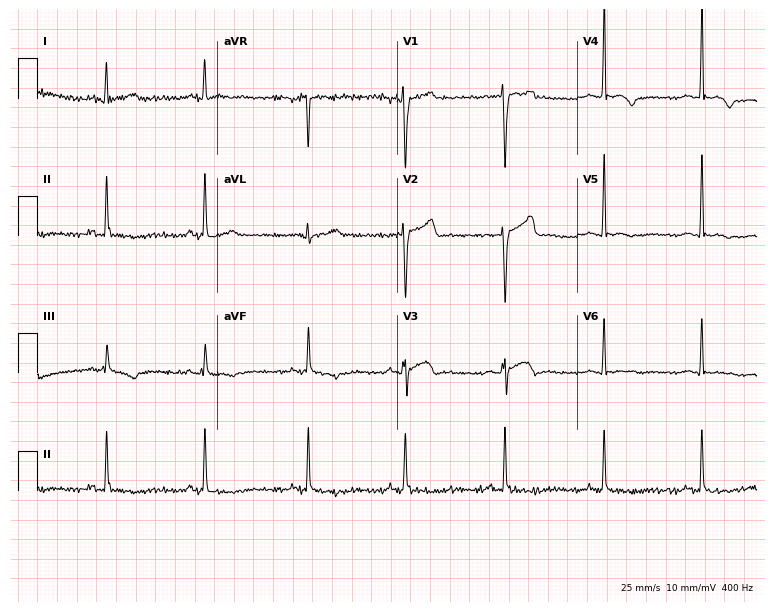
12-lead ECG (7.3-second recording at 400 Hz) from a 29-year-old male patient. Screened for six findings — first-degree AV block, right bundle branch block, left bundle branch block, sinus bradycardia, atrial fibrillation, sinus tachycardia — none is recorded. Other findings, if any, are not listed.